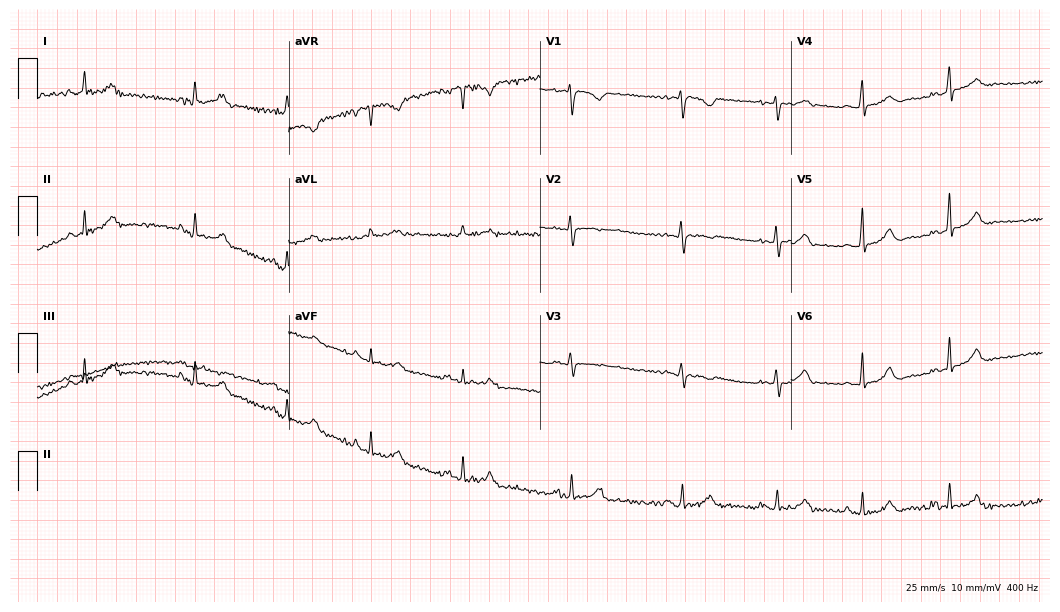
Standard 12-lead ECG recorded from a 26-year-old woman (10.2-second recording at 400 Hz). None of these six findings is recorded: first-degree AV block, right bundle branch block, left bundle branch block, sinus bradycardia, atrial fibrillation, sinus tachycardia. Only these six findings were labelled.